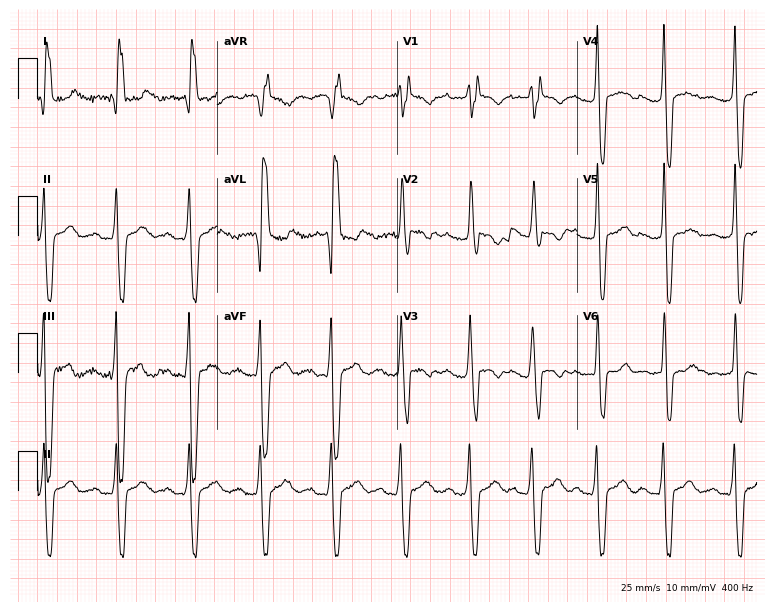
ECG — a woman, 35 years old. Findings include first-degree AV block, right bundle branch block.